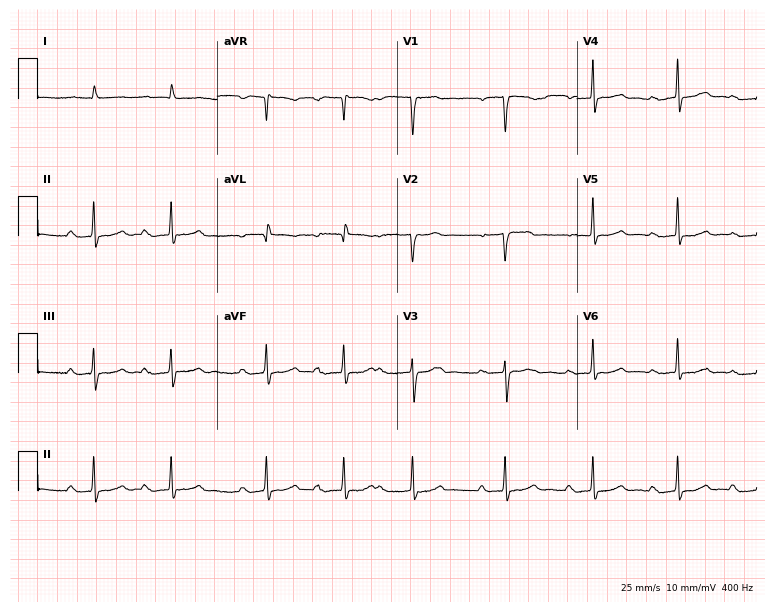
12-lead ECG (7.3-second recording at 400 Hz) from a man, 83 years old. Screened for six findings — first-degree AV block, right bundle branch block, left bundle branch block, sinus bradycardia, atrial fibrillation, sinus tachycardia — none is recorded.